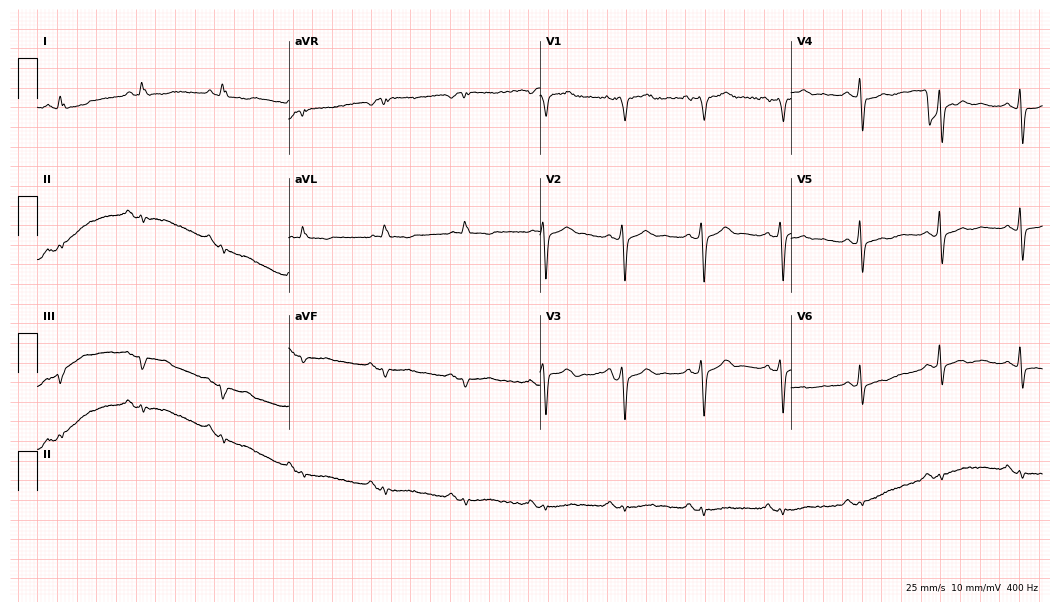
Resting 12-lead electrocardiogram (10.2-second recording at 400 Hz). Patient: a 74-year-old male. None of these six findings is recorded: first-degree AV block, right bundle branch block (RBBB), left bundle branch block (LBBB), sinus bradycardia, atrial fibrillation (AF), sinus tachycardia.